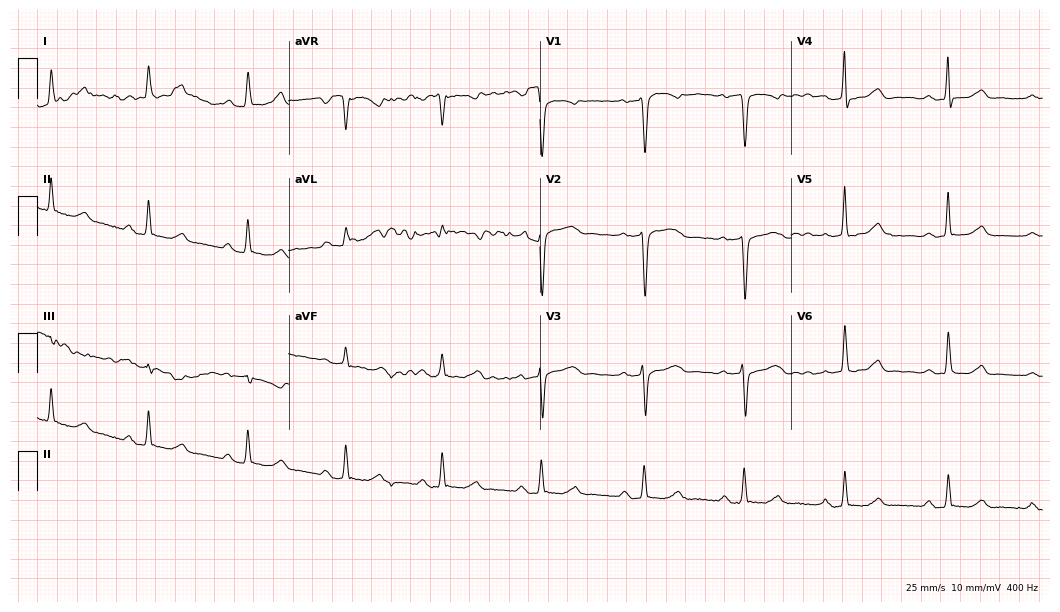
Electrocardiogram, a 50-year-old female. Interpretation includes first-degree AV block.